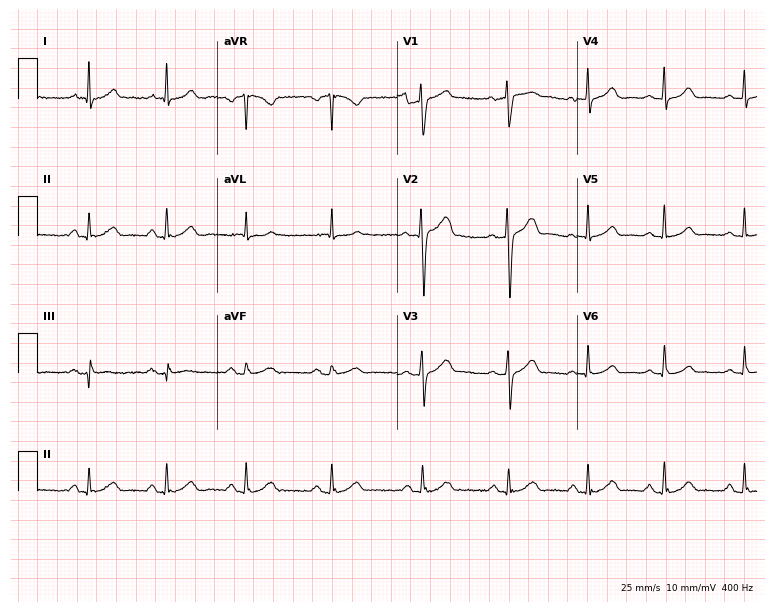
Standard 12-lead ECG recorded from a 37-year-old male (7.3-second recording at 400 Hz). Read as a normal ECG.